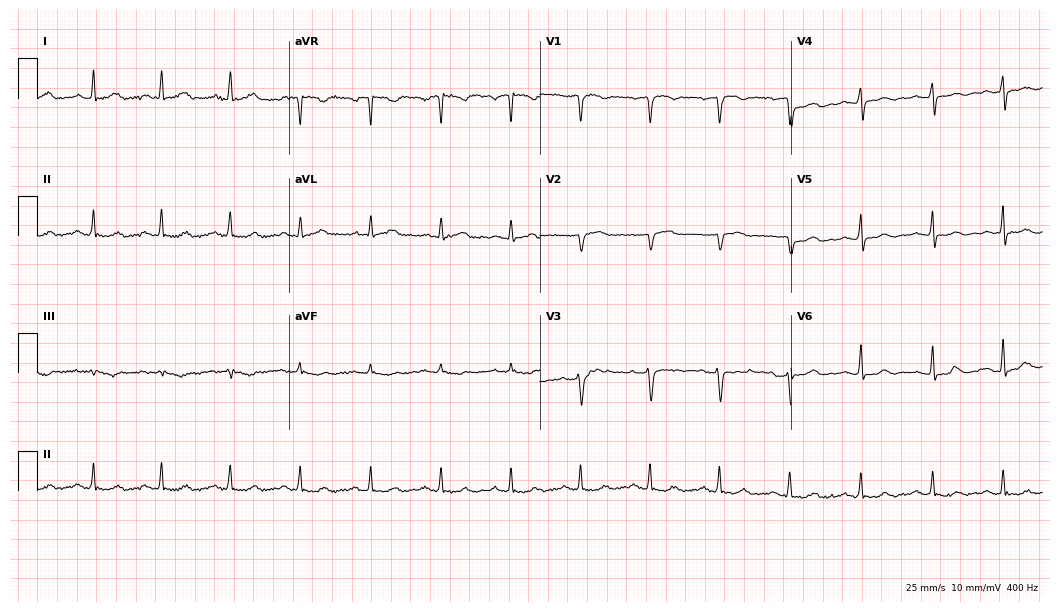
12-lead ECG (10.2-second recording at 400 Hz) from a female, 55 years old. Labelled as a normal ECG.